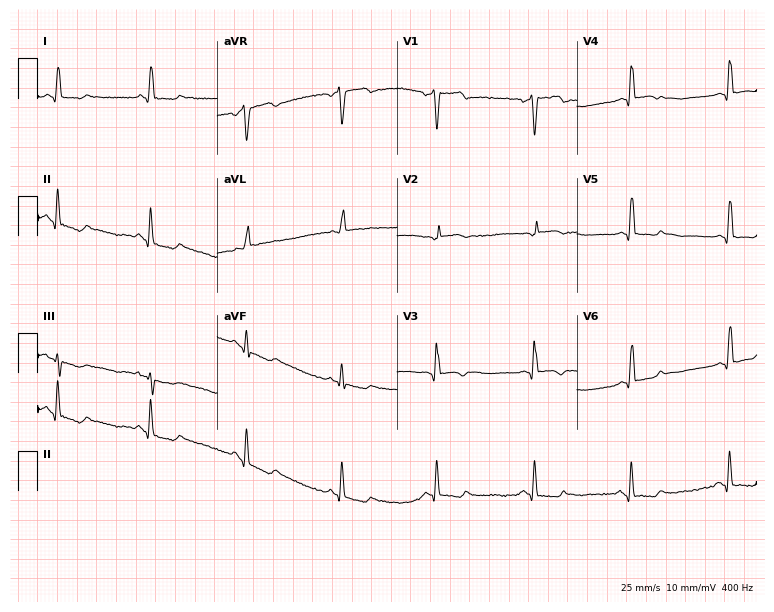
ECG (7.3-second recording at 400 Hz) — a man, 53 years old. Screened for six findings — first-degree AV block, right bundle branch block (RBBB), left bundle branch block (LBBB), sinus bradycardia, atrial fibrillation (AF), sinus tachycardia — none is recorded. Other findings, if any, are not listed.